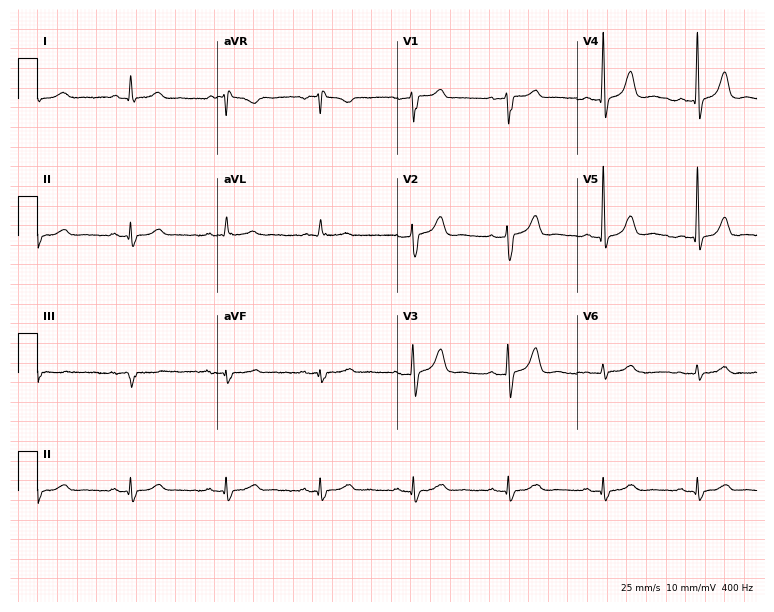
Resting 12-lead electrocardiogram. Patient: a male, 67 years old. Read as a normal ECG.